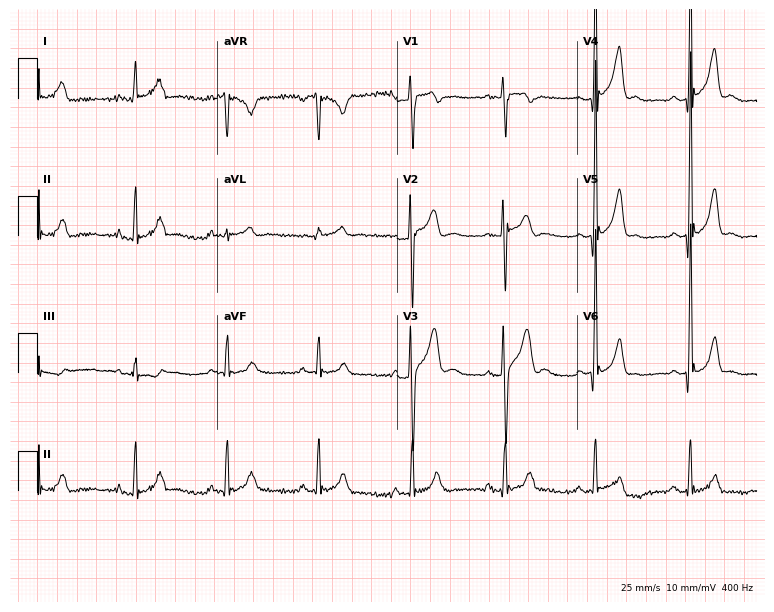
12-lead ECG from a male, 18 years old (7.3-second recording at 400 Hz). No first-degree AV block, right bundle branch block, left bundle branch block, sinus bradycardia, atrial fibrillation or sinus tachycardia recorded for this tracing.